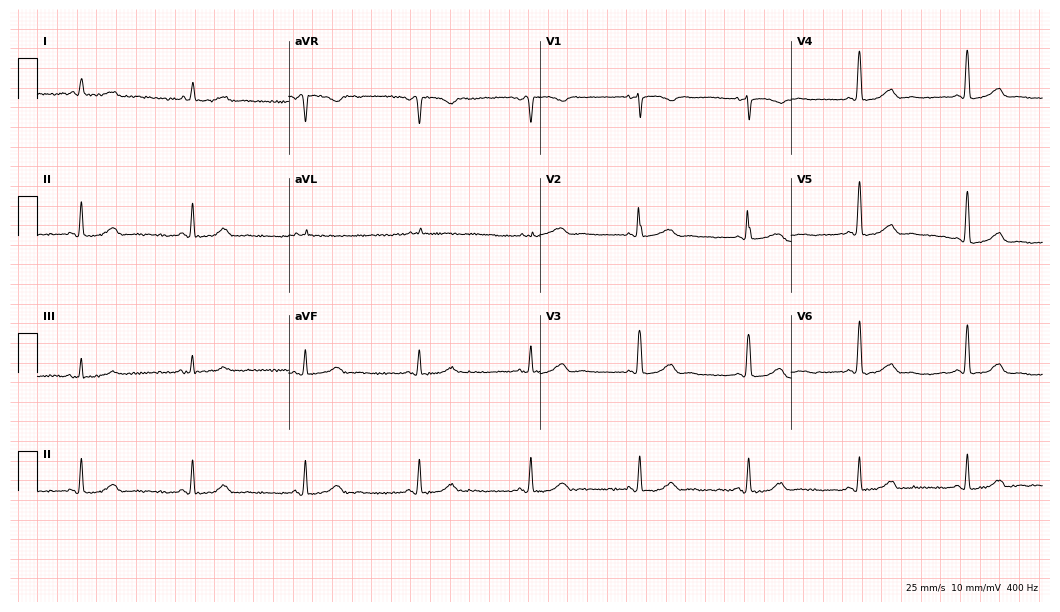
ECG (10.2-second recording at 400 Hz) — a 67-year-old female patient. Labelled as a normal ECG.